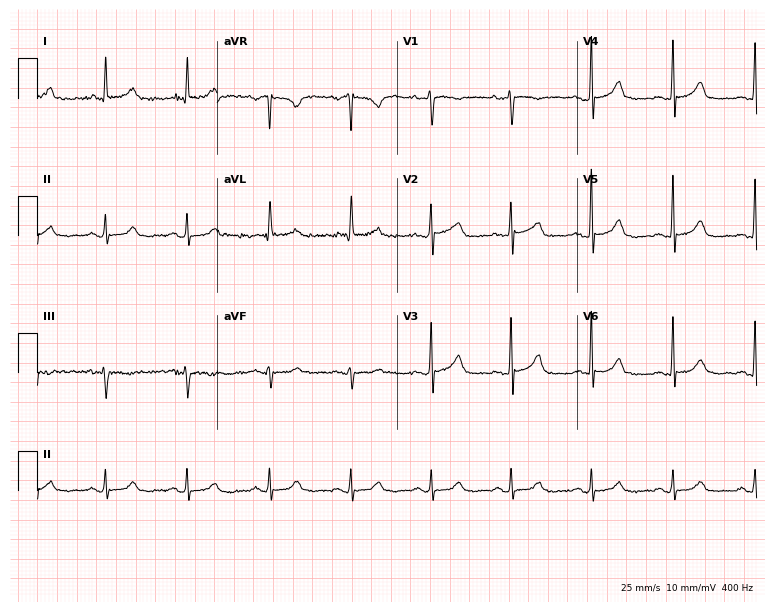
12-lead ECG (7.3-second recording at 400 Hz) from a female patient, 65 years old. Screened for six findings — first-degree AV block, right bundle branch block (RBBB), left bundle branch block (LBBB), sinus bradycardia, atrial fibrillation (AF), sinus tachycardia — none is recorded. Findings outside these six are not listed.